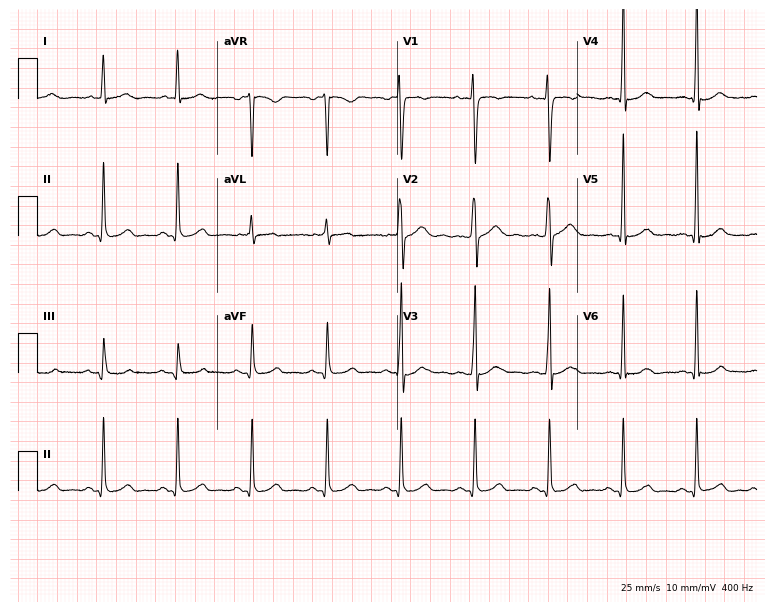
12-lead ECG from a 23-year-old man. Labelled as a normal ECG.